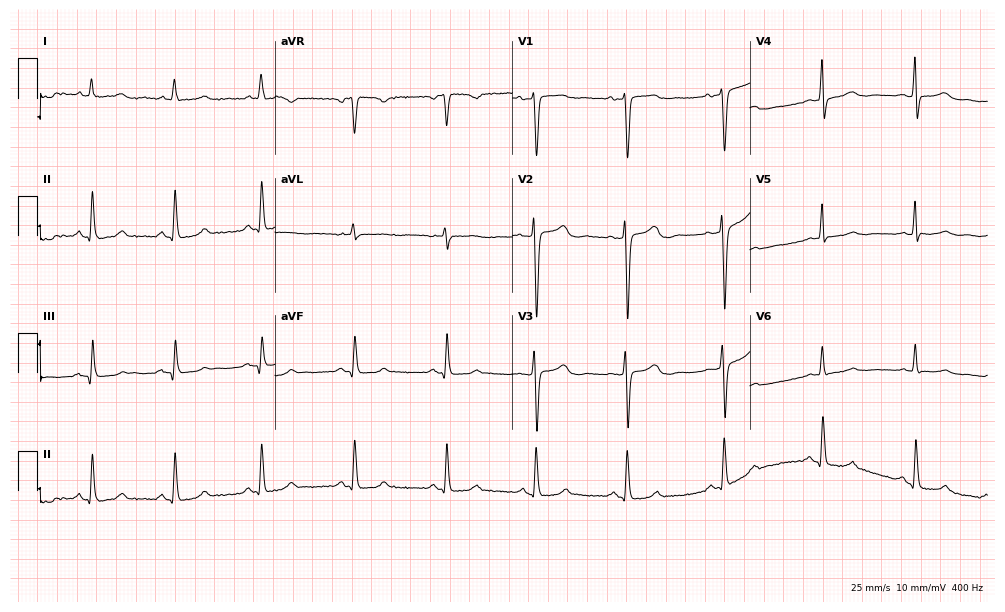
Electrocardiogram (9.7-second recording at 400 Hz), a female patient, 34 years old. Overall reading on record: normal ECG.